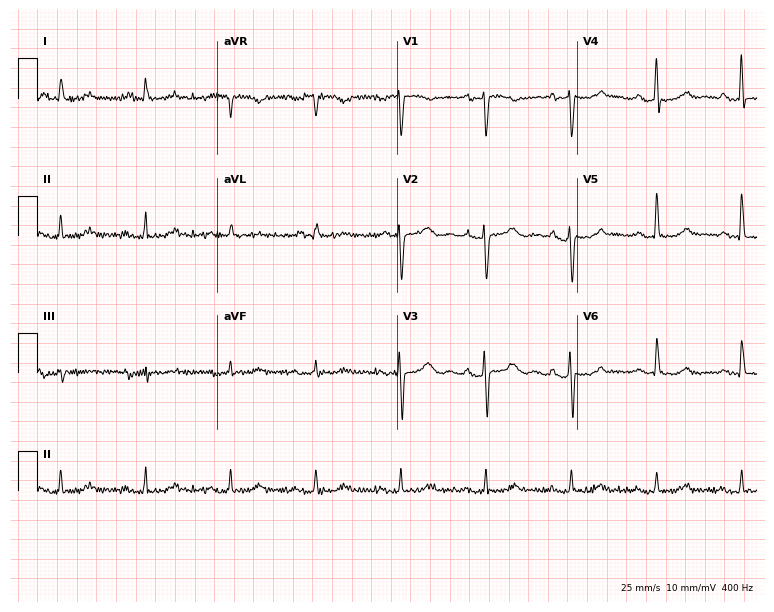
12-lead ECG from a 62-year-old man. Recorded interpretation: within normal limits.